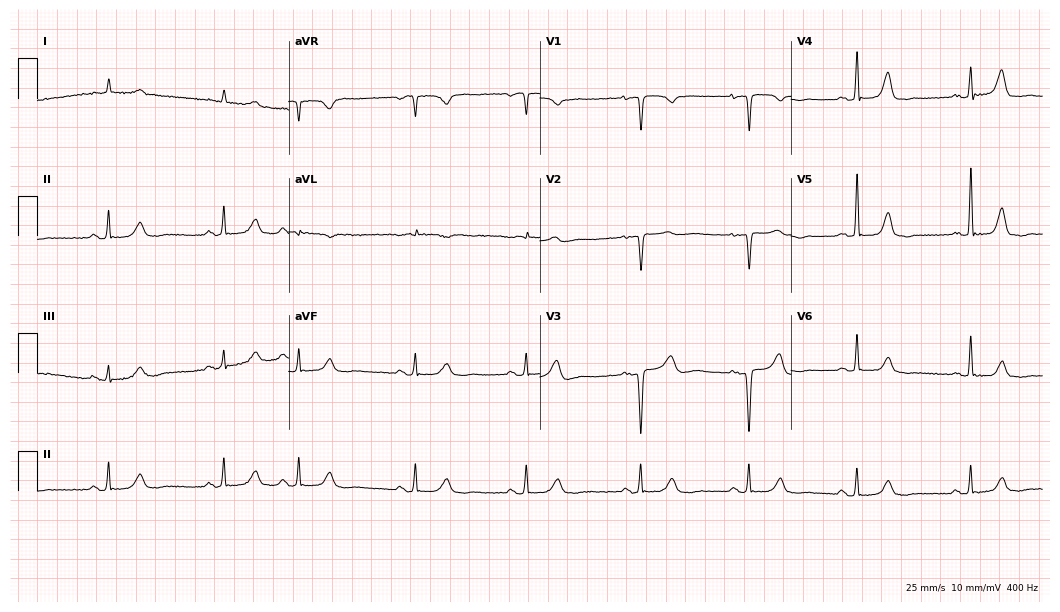
Resting 12-lead electrocardiogram (10.2-second recording at 400 Hz). Patient: a female, 75 years old. None of these six findings is recorded: first-degree AV block, right bundle branch block (RBBB), left bundle branch block (LBBB), sinus bradycardia, atrial fibrillation (AF), sinus tachycardia. Only these six findings were labelled.